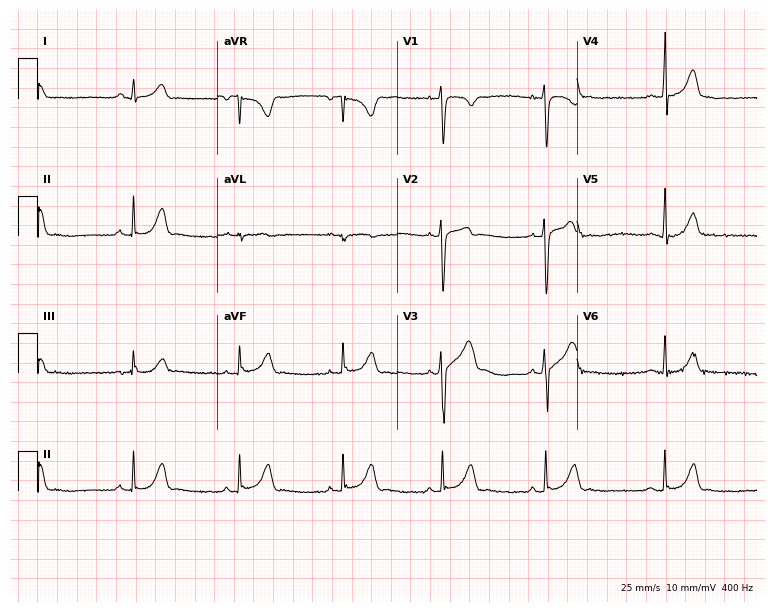
Electrocardiogram, a man, 25 years old. Overall reading on record: normal ECG.